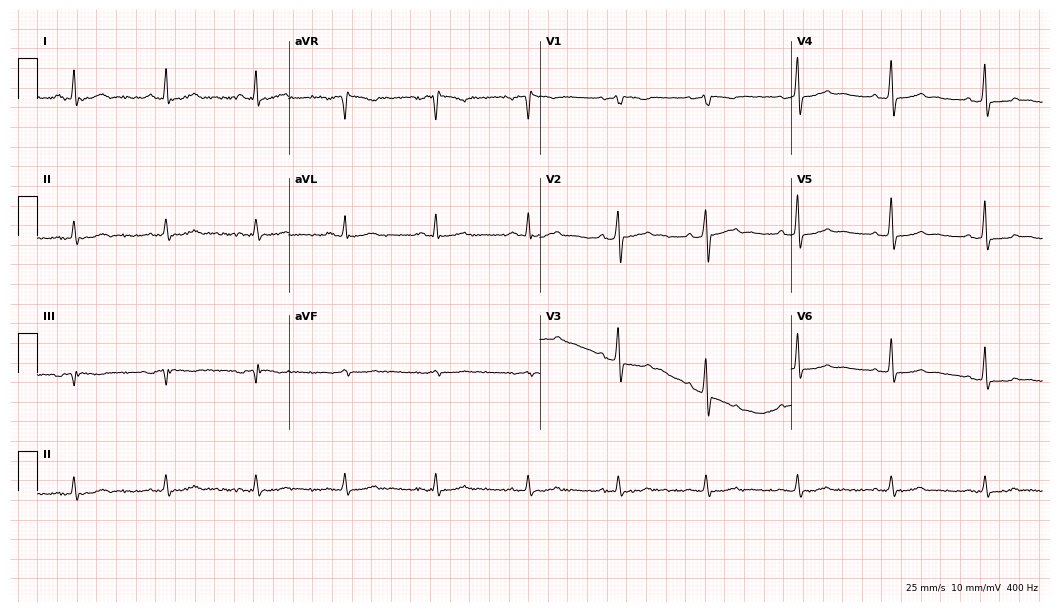
Resting 12-lead electrocardiogram (10.2-second recording at 400 Hz). Patient: a 49-year-old man. None of these six findings is recorded: first-degree AV block, right bundle branch block, left bundle branch block, sinus bradycardia, atrial fibrillation, sinus tachycardia. Only these six findings were labelled.